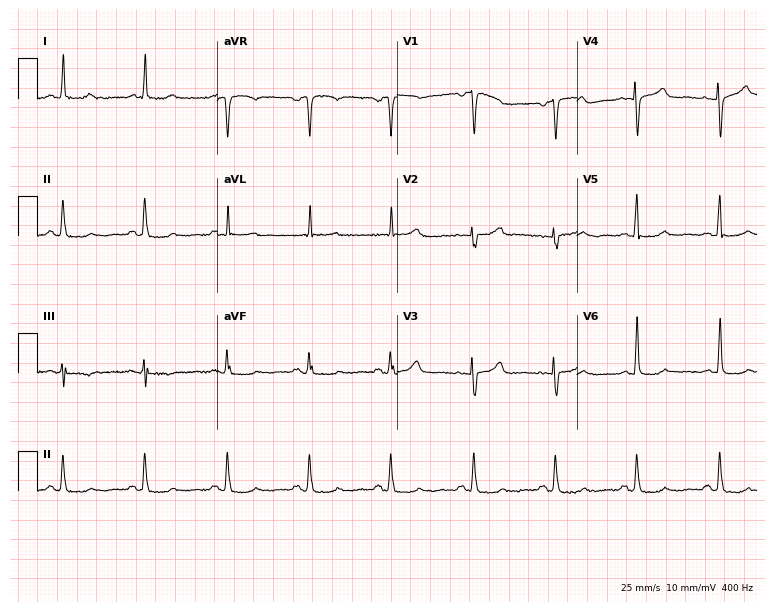
Resting 12-lead electrocardiogram (7.3-second recording at 400 Hz). Patient: a woman, 70 years old. None of these six findings is recorded: first-degree AV block, right bundle branch block, left bundle branch block, sinus bradycardia, atrial fibrillation, sinus tachycardia.